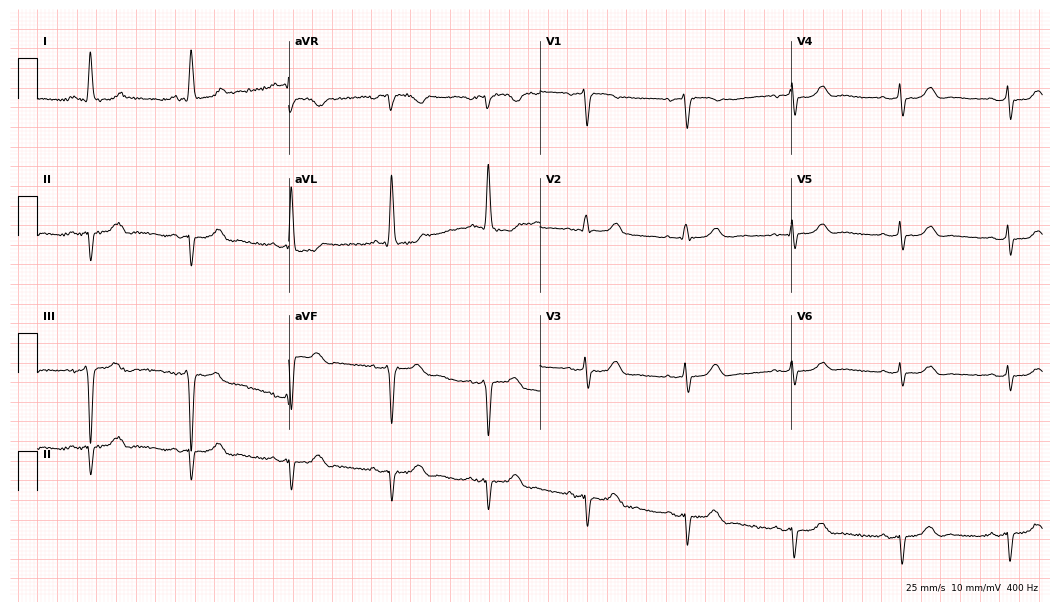
12-lead ECG from a woman, 67 years old (10.2-second recording at 400 Hz). No first-degree AV block, right bundle branch block, left bundle branch block, sinus bradycardia, atrial fibrillation or sinus tachycardia recorded for this tracing.